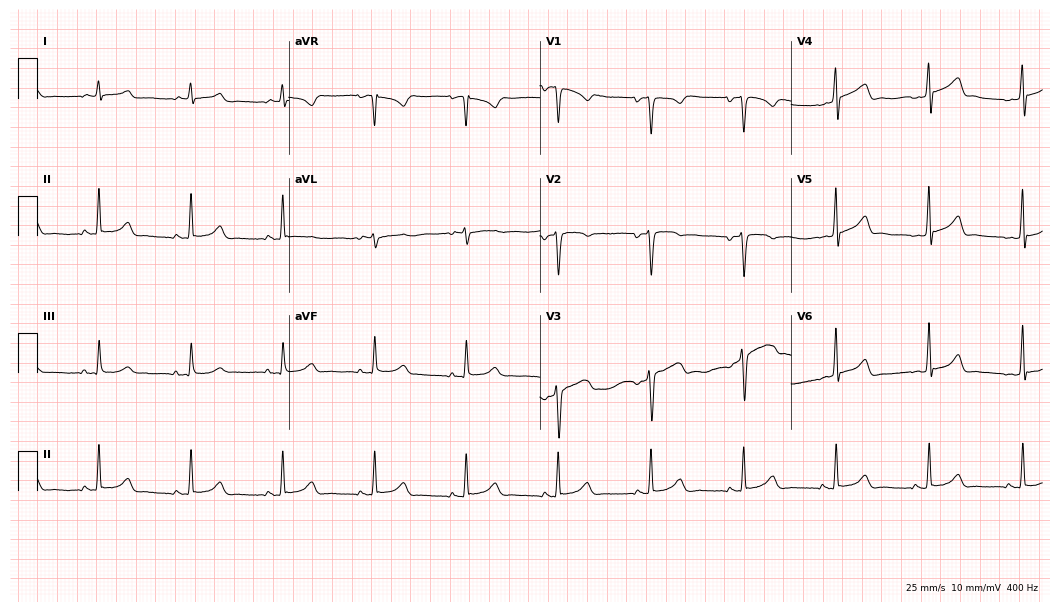
12-lead ECG from a 17-year-old female patient. Recorded interpretation: within normal limits.